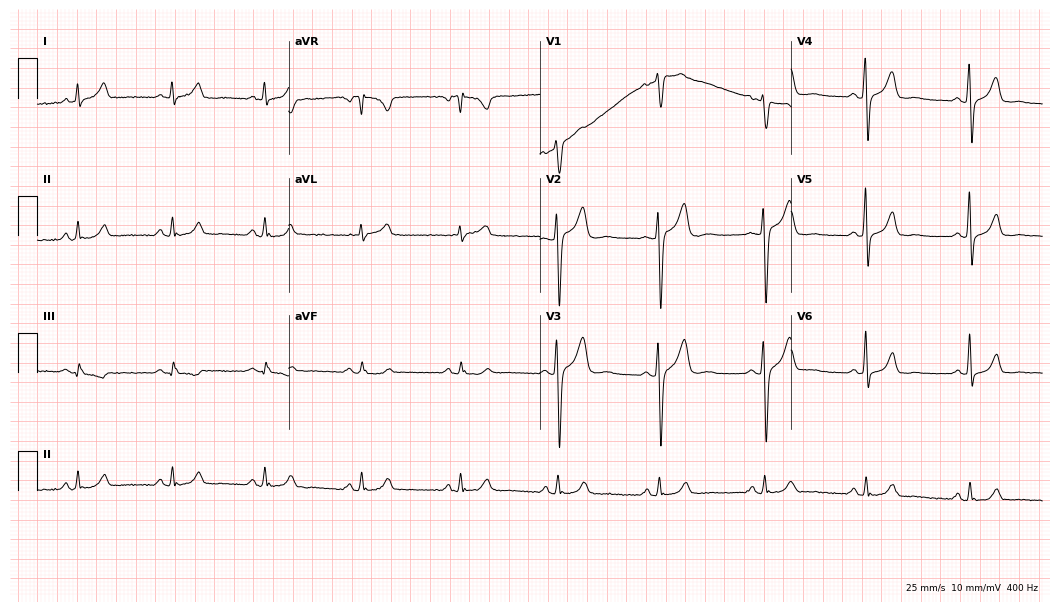
12-lead ECG from a 51-year-old man. No first-degree AV block, right bundle branch block, left bundle branch block, sinus bradycardia, atrial fibrillation or sinus tachycardia recorded for this tracing. Findings outside these six are not listed.